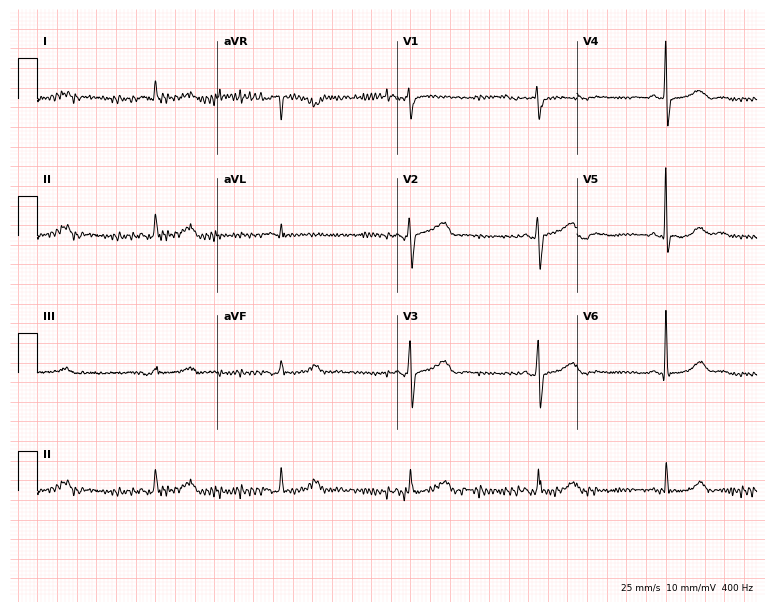
12-lead ECG from a 72-year-old man (7.3-second recording at 400 Hz). No first-degree AV block, right bundle branch block, left bundle branch block, sinus bradycardia, atrial fibrillation or sinus tachycardia recorded for this tracing. Findings outside these six are not listed.